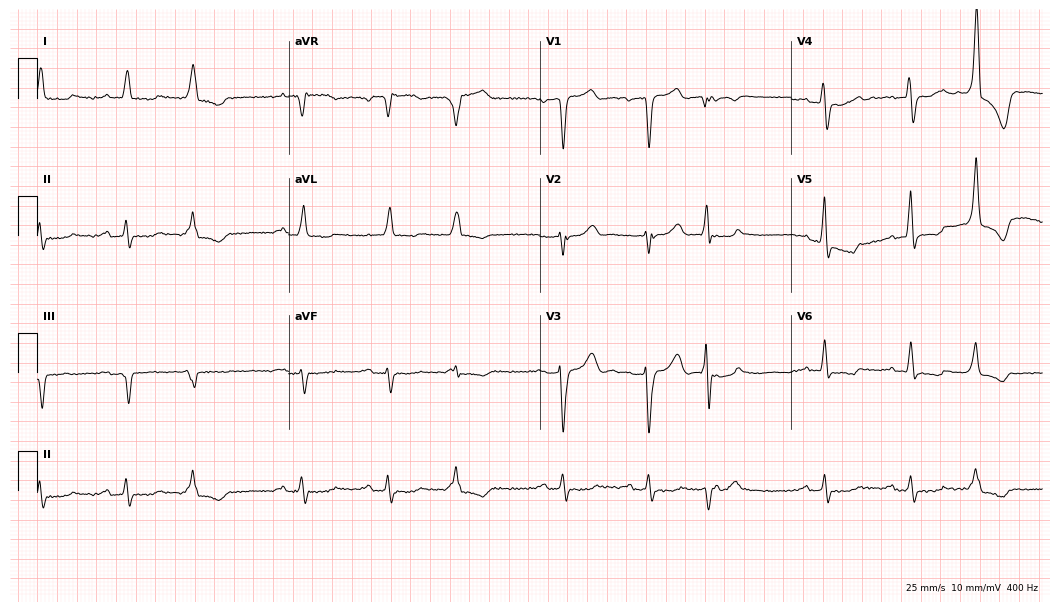
ECG — a 77-year-old male patient. Findings include first-degree AV block.